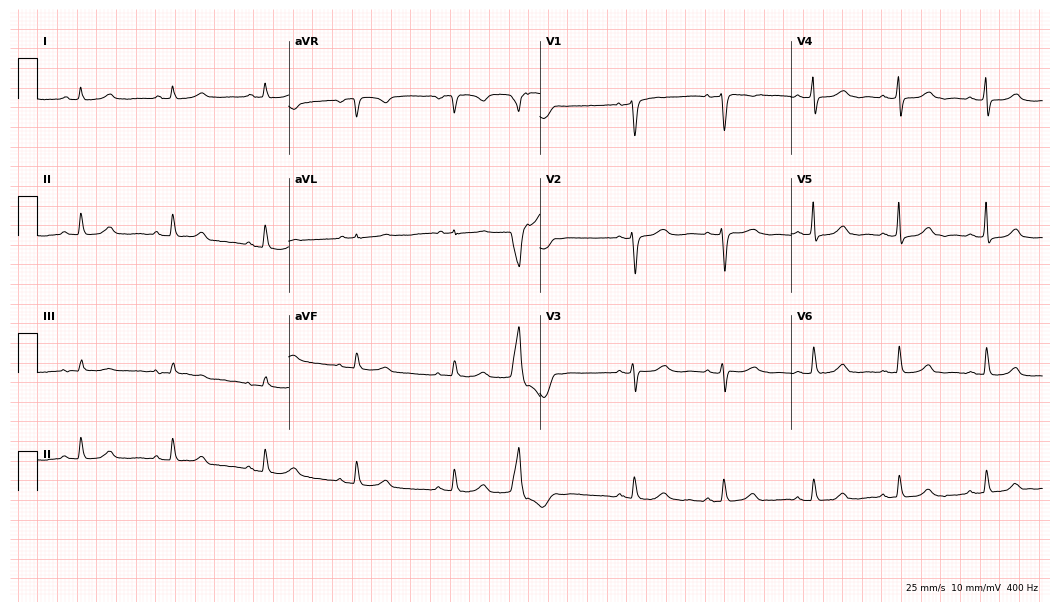
12-lead ECG from a female, 74 years old (10.2-second recording at 400 Hz). No first-degree AV block, right bundle branch block, left bundle branch block, sinus bradycardia, atrial fibrillation or sinus tachycardia recorded for this tracing. Findings outside these six are not listed.